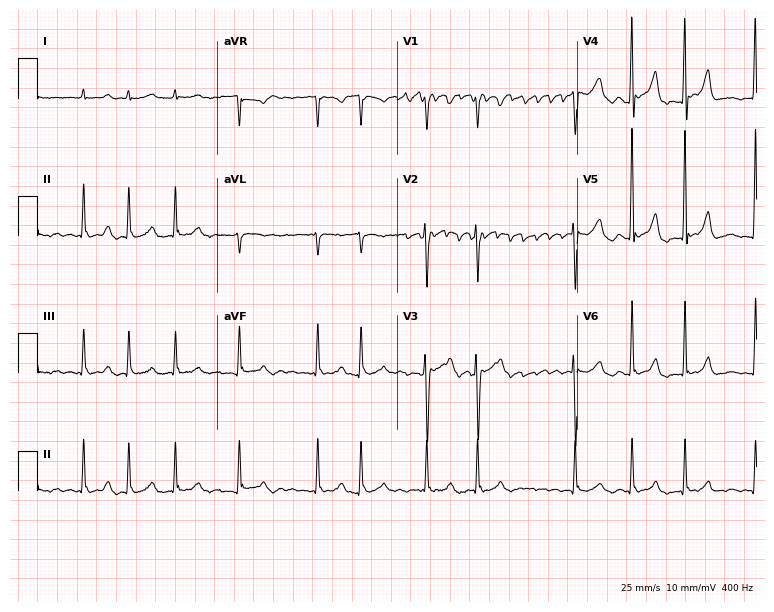
Electrocardiogram (7.3-second recording at 400 Hz), an 85-year-old woman. Of the six screened findings (first-degree AV block, right bundle branch block, left bundle branch block, sinus bradycardia, atrial fibrillation, sinus tachycardia), none is recorded. Findings outside these six are not listed.